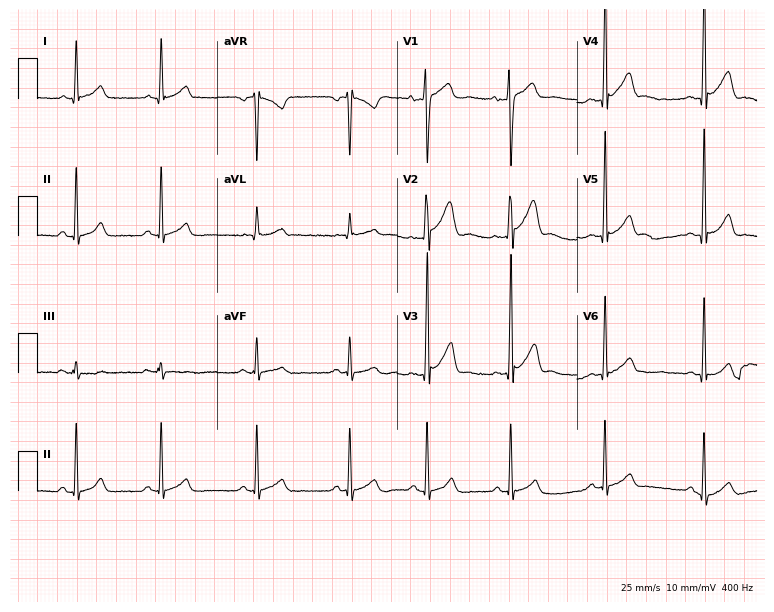
Electrocardiogram (7.3-second recording at 400 Hz), a male, 25 years old. Overall reading on record: normal ECG.